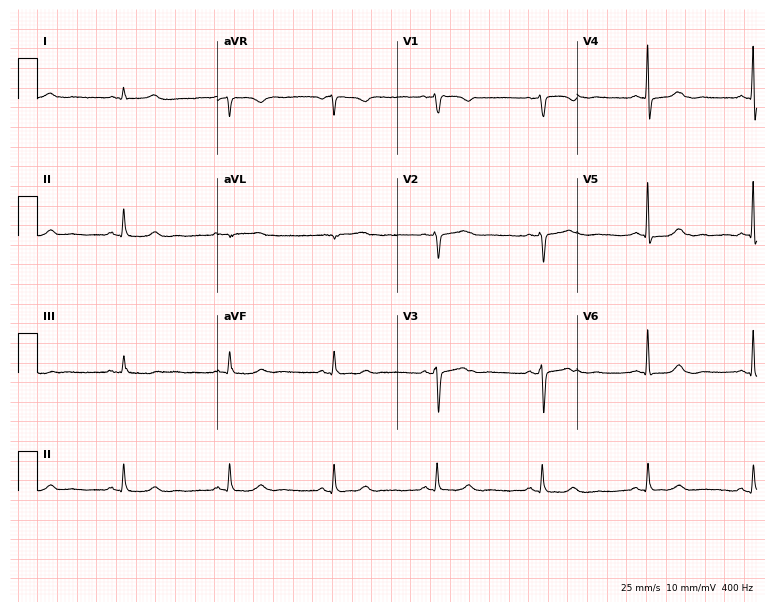
Resting 12-lead electrocardiogram (7.3-second recording at 400 Hz). Patient: a 66-year-old woman. None of these six findings is recorded: first-degree AV block, right bundle branch block, left bundle branch block, sinus bradycardia, atrial fibrillation, sinus tachycardia. Other findings, if any, are not listed.